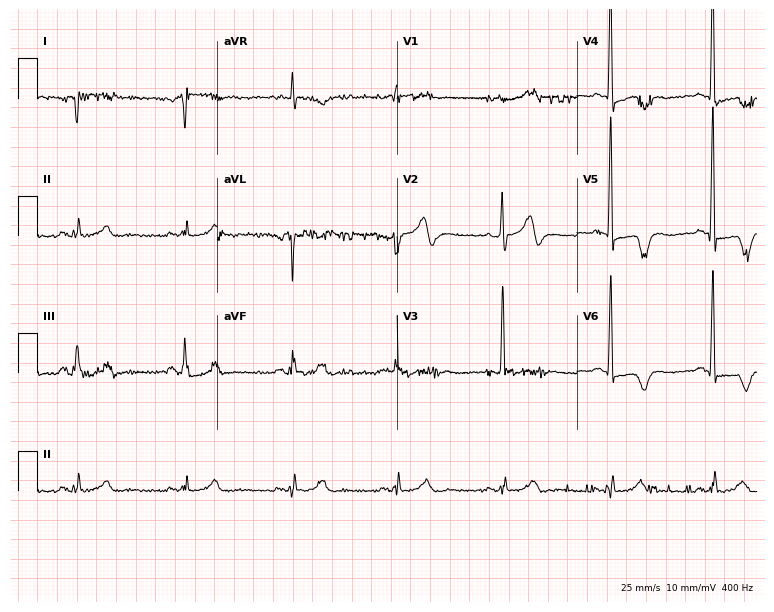
Resting 12-lead electrocardiogram (7.3-second recording at 400 Hz). Patient: a 67-year-old female. None of these six findings is recorded: first-degree AV block, right bundle branch block, left bundle branch block, sinus bradycardia, atrial fibrillation, sinus tachycardia.